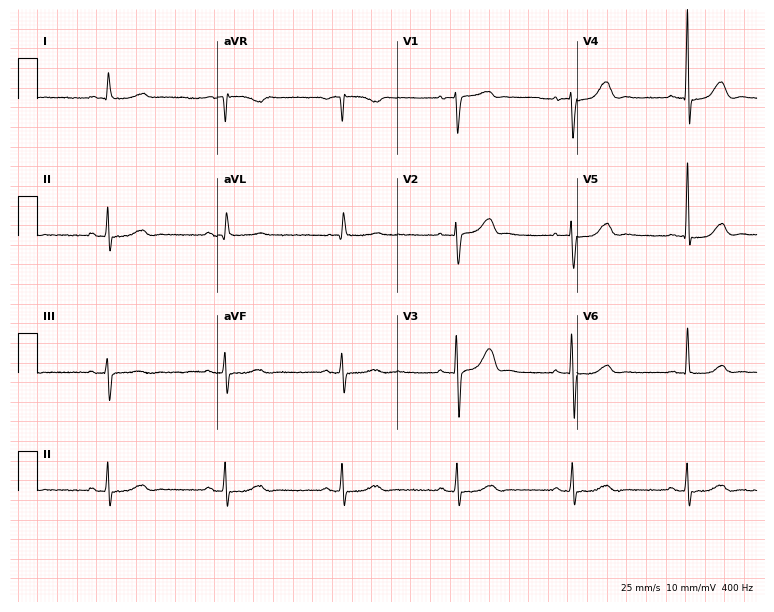
ECG (7.3-second recording at 400 Hz) — a man, 77 years old. Labelled as a normal ECG.